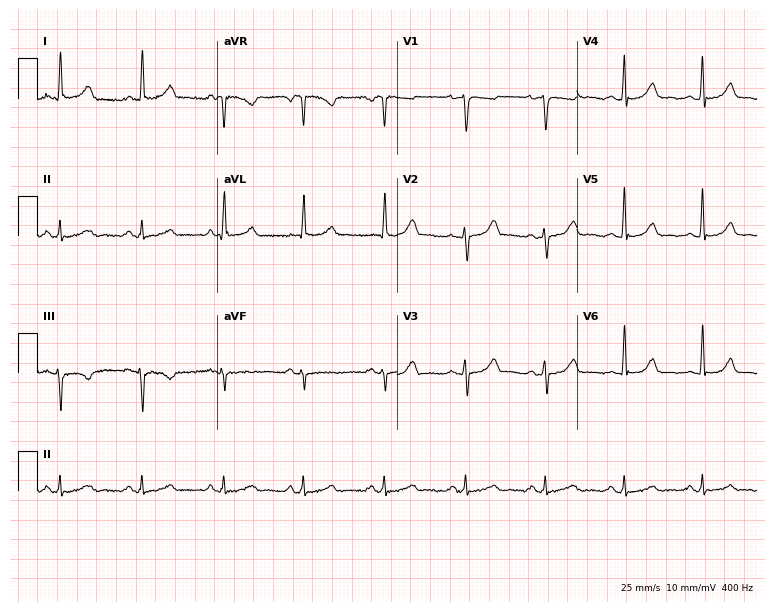
Standard 12-lead ECG recorded from a woman, 38 years old. None of these six findings is recorded: first-degree AV block, right bundle branch block (RBBB), left bundle branch block (LBBB), sinus bradycardia, atrial fibrillation (AF), sinus tachycardia.